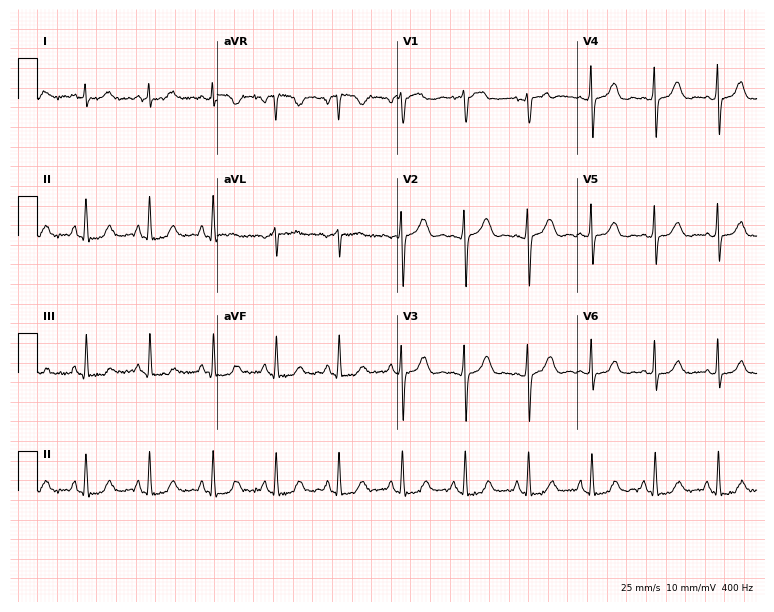
12-lead ECG from a woman, 62 years old. No first-degree AV block, right bundle branch block (RBBB), left bundle branch block (LBBB), sinus bradycardia, atrial fibrillation (AF) or sinus tachycardia recorded for this tracing.